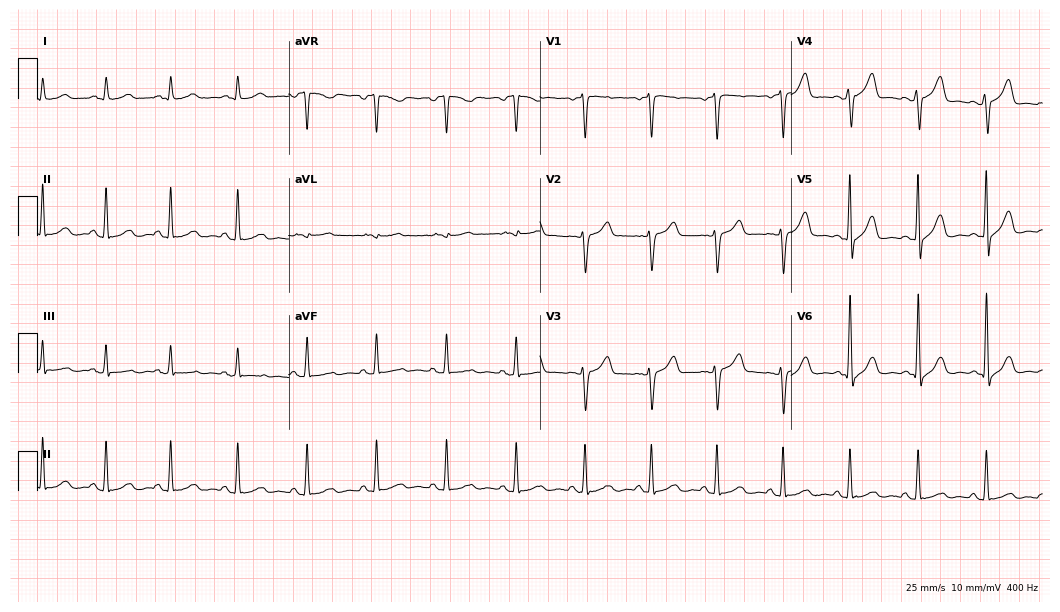
12-lead ECG from a male patient, 48 years old. No first-degree AV block, right bundle branch block, left bundle branch block, sinus bradycardia, atrial fibrillation or sinus tachycardia recorded for this tracing. Other findings, if any, are not listed.